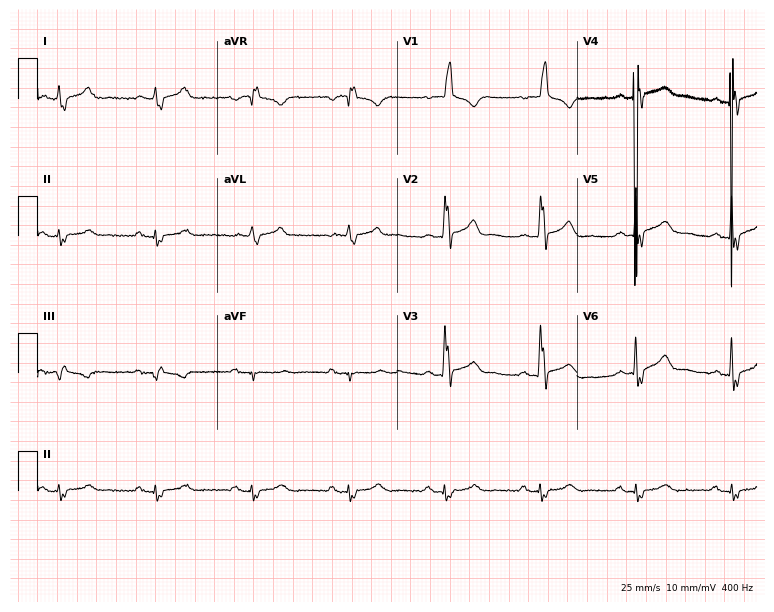
ECG (7.3-second recording at 400 Hz) — a man, 69 years old. Findings include right bundle branch block.